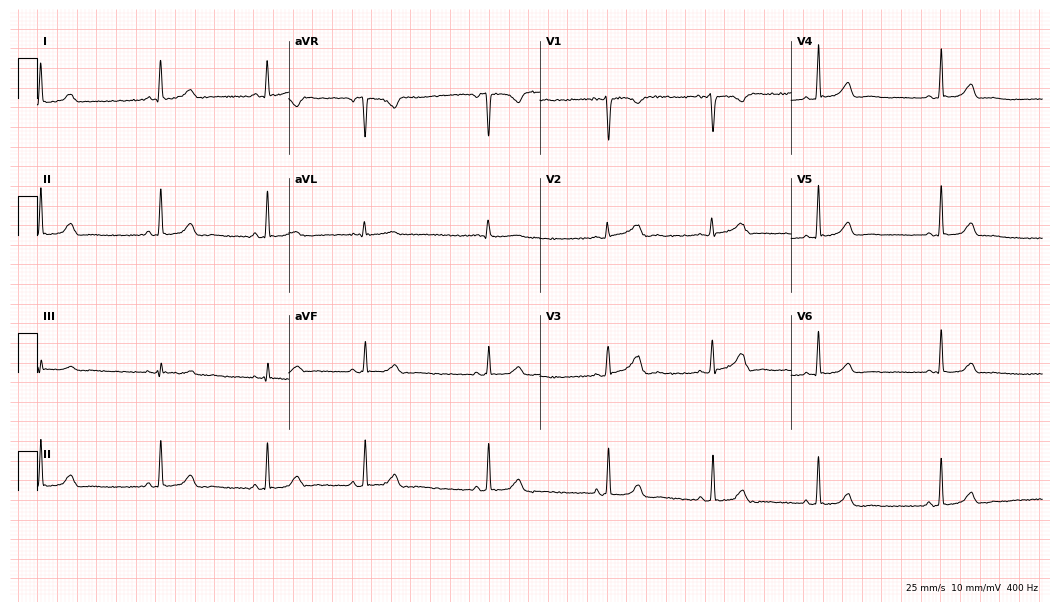
Resting 12-lead electrocardiogram (10.2-second recording at 400 Hz). Patient: a female, 23 years old. Read as a normal ECG.